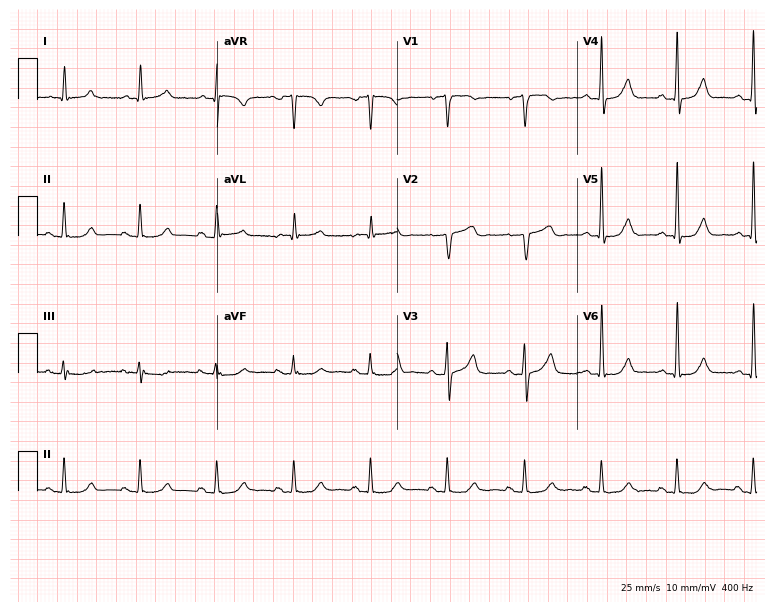
Resting 12-lead electrocardiogram. Patient: a man, 80 years old. Read as a normal ECG.